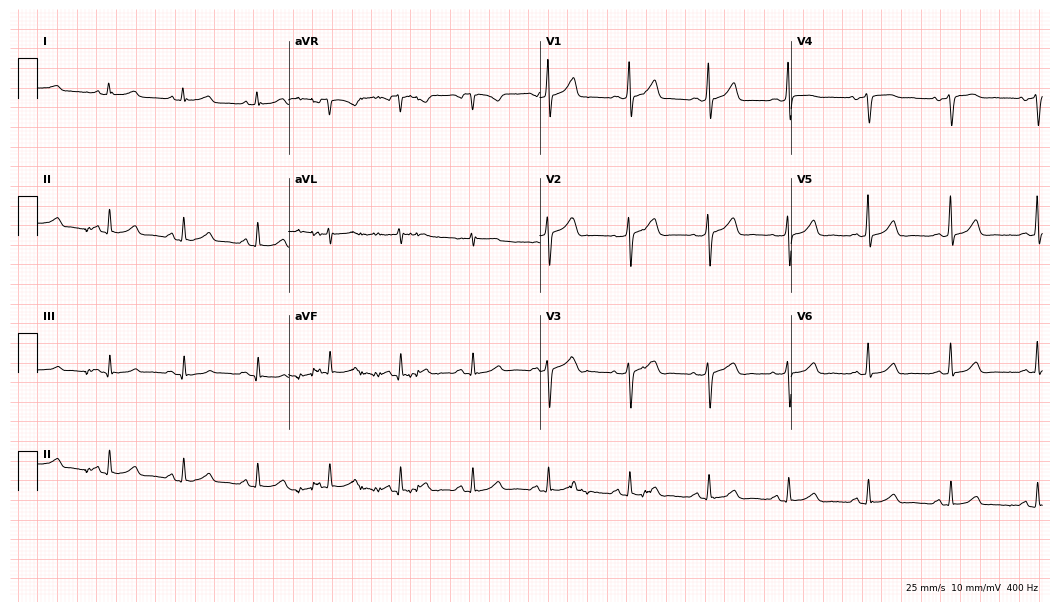
Standard 12-lead ECG recorded from a 45-year-old woman. None of these six findings is recorded: first-degree AV block, right bundle branch block, left bundle branch block, sinus bradycardia, atrial fibrillation, sinus tachycardia. Other findings, if any, are not listed.